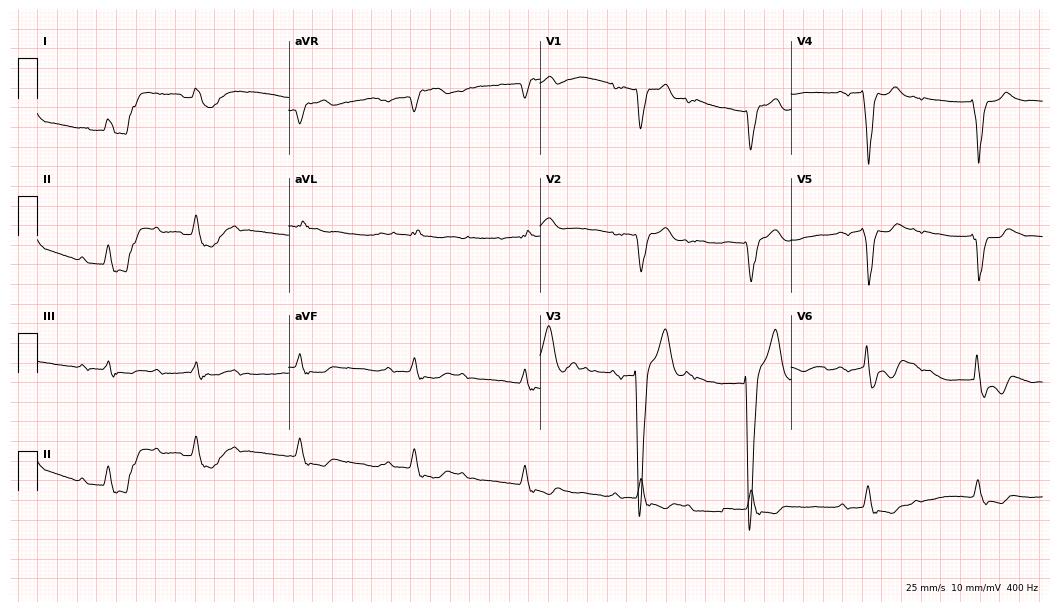
12-lead ECG from a male patient, 74 years old. No first-degree AV block, right bundle branch block, left bundle branch block, sinus bradycardia, atrial fibrillation or sinus tachycardia recorded for this tracing. Other findings, if any, are not listed.